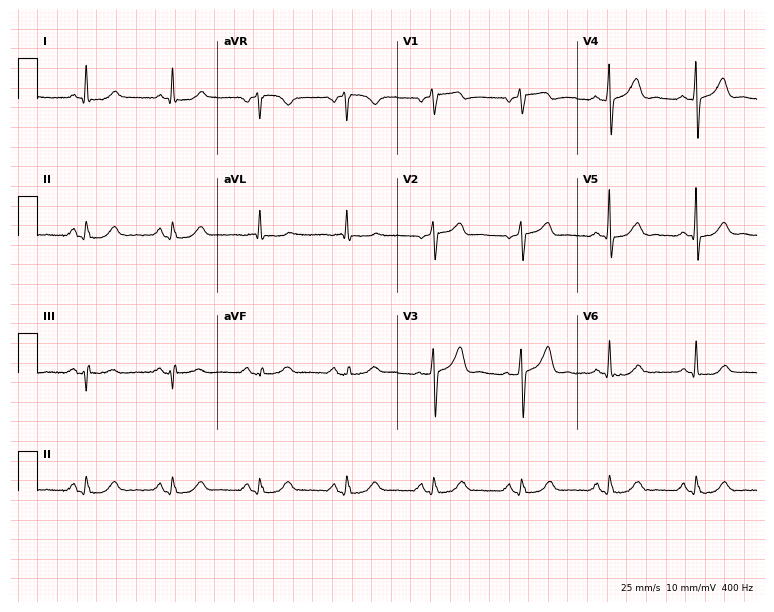
Electrocardiogram (7.3-second recording at 400 Hz), an 81-year-old man. Overall reading on record: normal ECG.